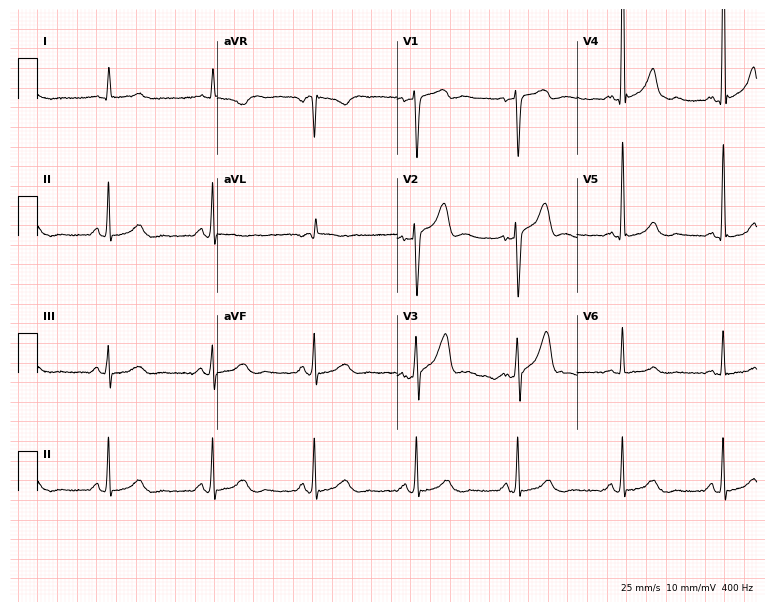
Electrocardiogram, a 57-year-old male. Of the six screened findings (first-degree AV block, right bundle branch block, left bundle branch block, sinus bradycardia, atrial fibrillation, sinus tachycardia), none is recorded.